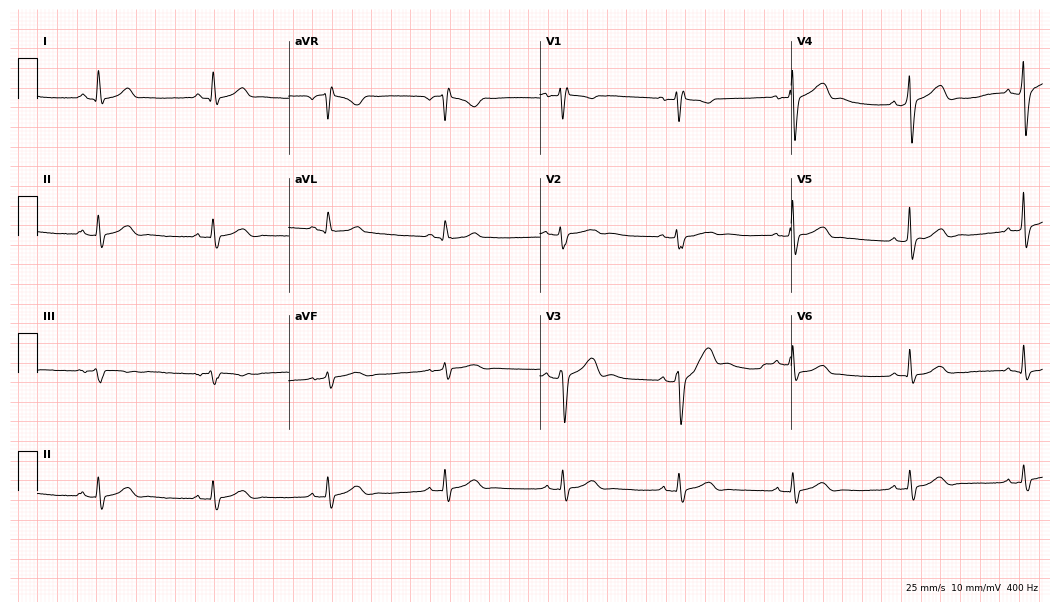
12-lead ECG (10.2-second recording at 400 Hz) from a male patient, 38 years old. Screened for six findings — first-degree AV block, right bundle branch block, left bundle branch block, sinus bradycardia, atrial fibrillation, sinus tachycardia — none is recorded.